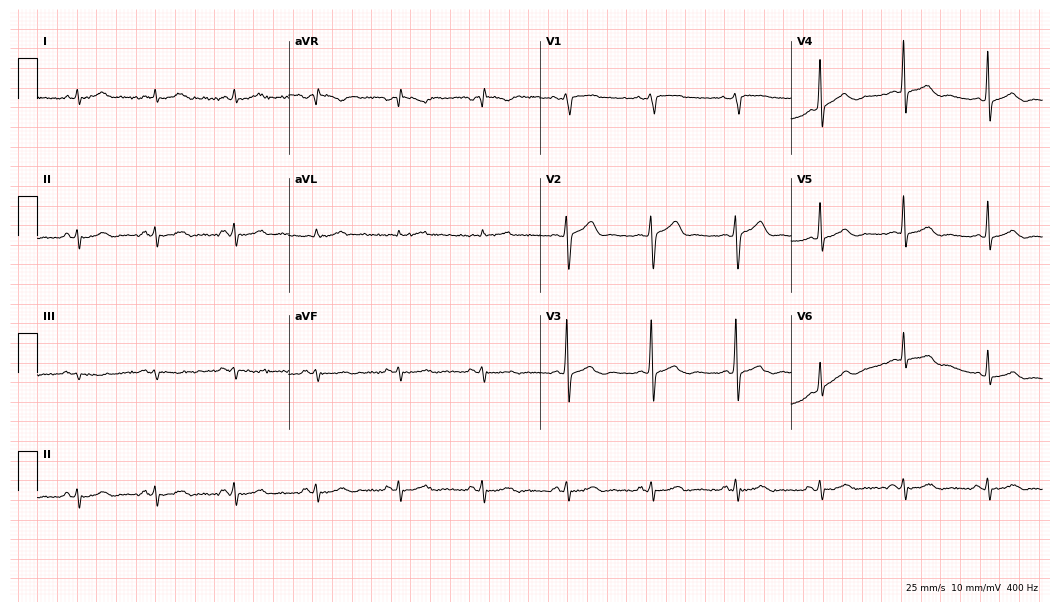
12-lead ECG from a male patient, 59 years old. No first-degree AV block, right bundle branch block (RBBB), left bundle branch block (LBBB), sinus bradycardia, atrial fibrillation (AF) or sinus tachycardia recorded for this tracing.